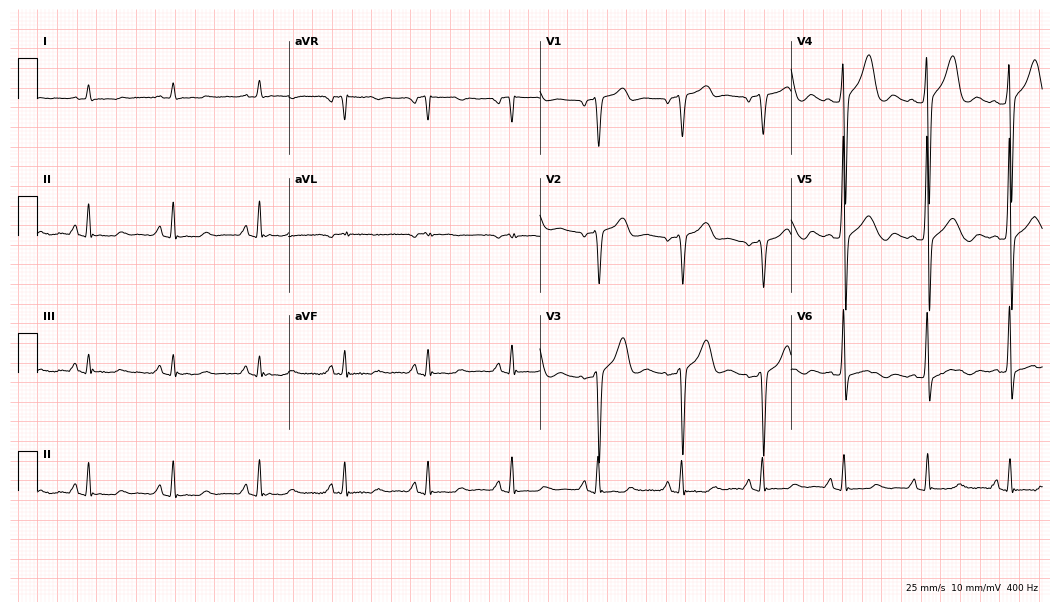
Electrocardiogram, a man, 51 years old. Of the six screened findings (first-degree AV block, right bundle branch block, left bundle branch block, sinus bradycardia, atrial fibrillation, sinus tachycardia), none is recorded. Findings outside these six are not listed.